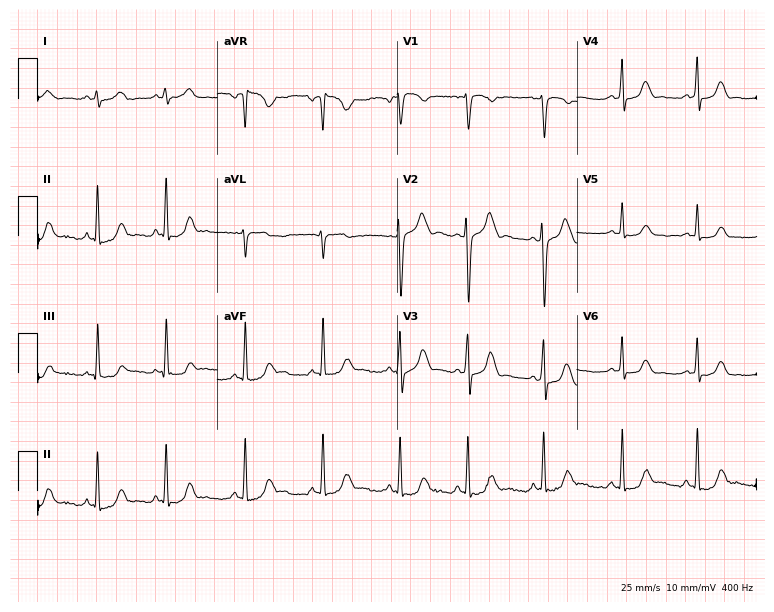
12-lead ECG from a female patient, 29 years old. Screened for six findings — first-degree AV block, right bundle branch block, left bundle branch block, sinus bradycardia, atrial fibrillation, sinus tachycardia — none is recorded. Other findings, if any, are not listed.